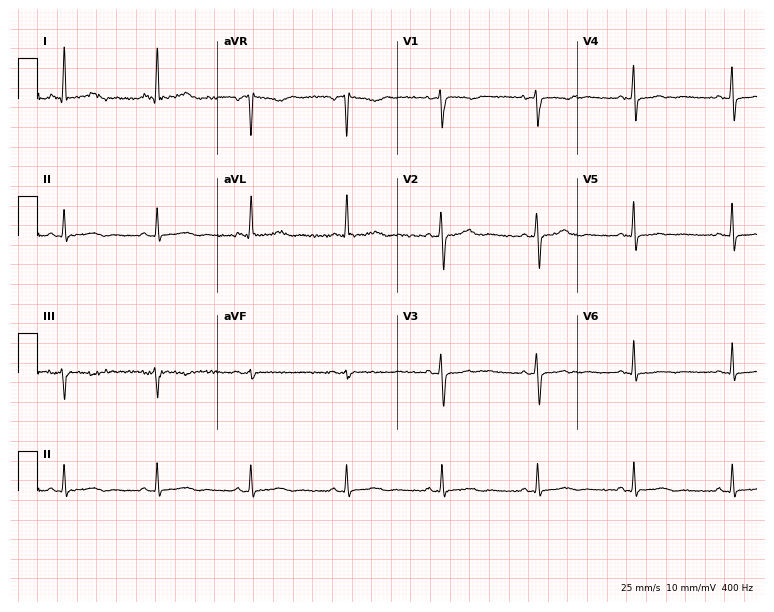
Resting 12-lead electrocardiogram. Patient: a 62-year-old female. None of these six findings is recorded: first-degree AV block, right bundle branch block, left bundle branch block, sinus bradycardia, atrial fibrillation, sinus tachycardia.